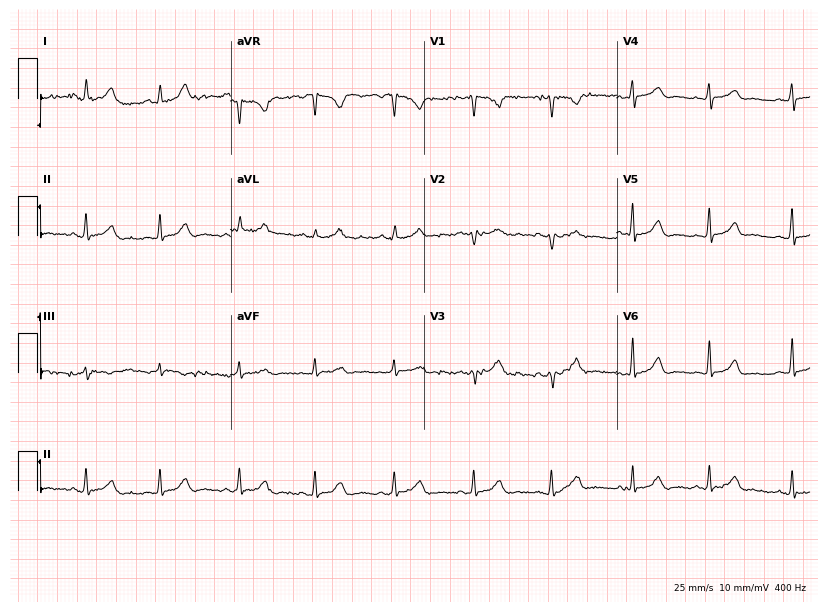
12-lead ECG from a woman, 24 years old (7.9-second recording at 400 Hz). Recorded interpretation: within normal limits.